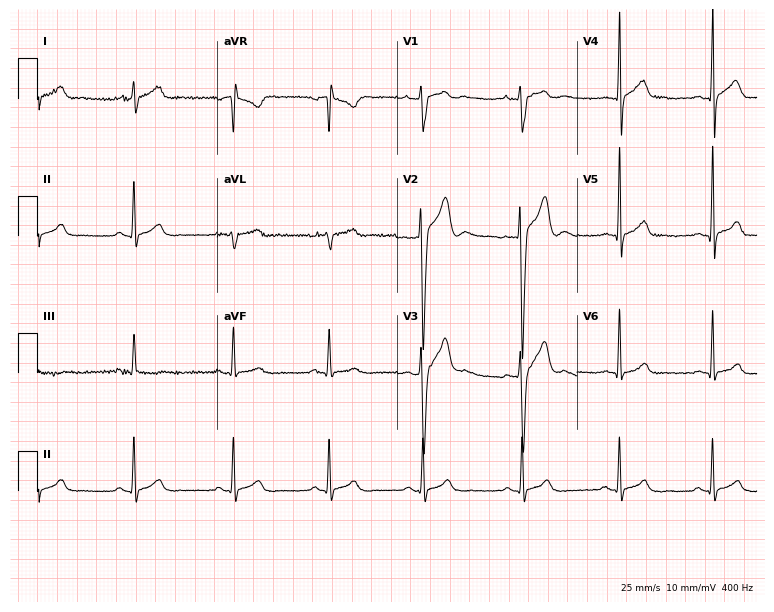
Standard 12-lead ECG recorded from a 21-year-old male. None of these six findings is recorded: first-degree AV block, right bundle branch block (RBBB), left bundle branch block (LBBB), sinus bradycardia, atrial fibrillation (AF), sinus tachycardia. Findings outside these six are not listed.